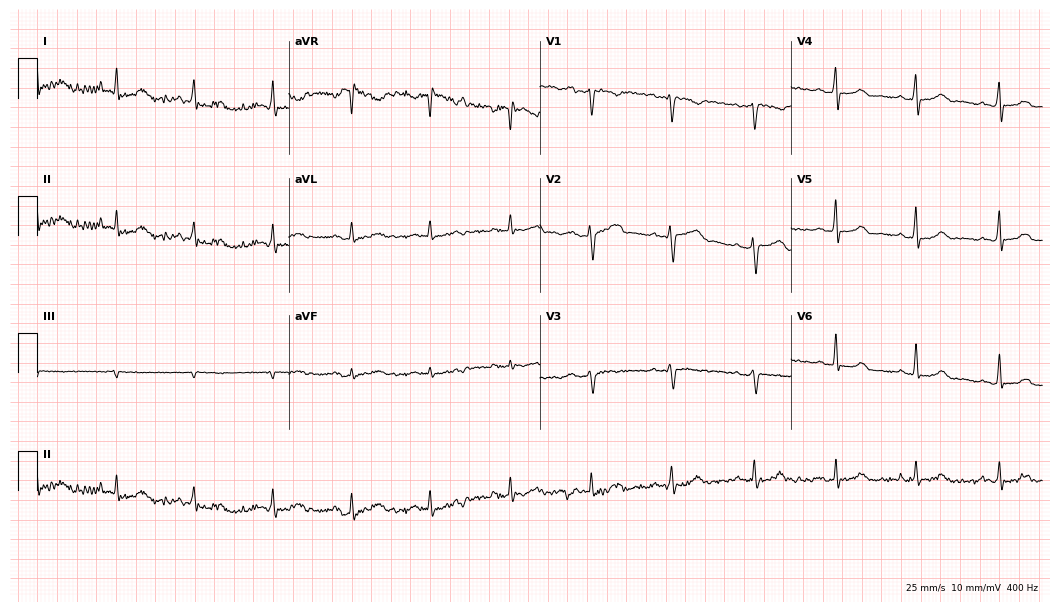
Standard 12-lead ECG recorded from a 49-year-old woman. Read as a normal ECG.